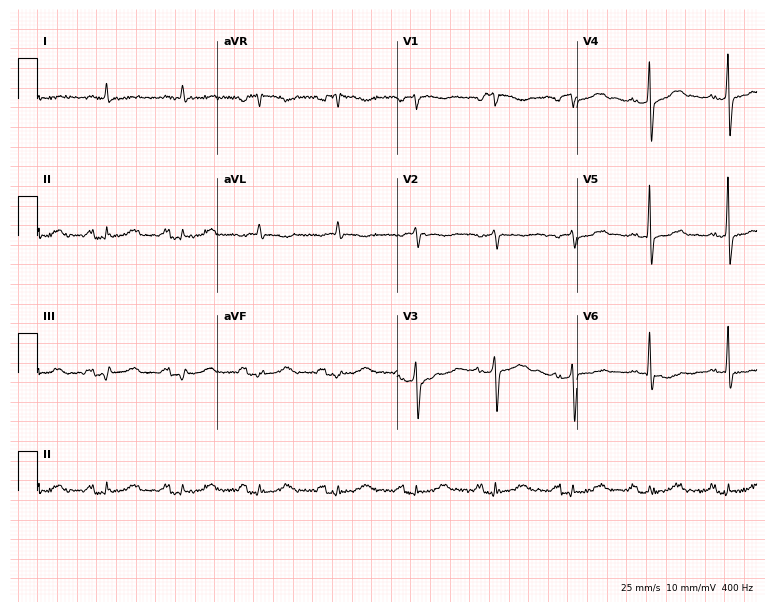
Electrocardiogram, a 64-year-old male patient. Of the six screened findings (first-degree AV block, right bundle branch block (RBBB), left bundle branch block (LBBB), sinus bradycardia, atrial fibrillation (AF), sinus tachycardia), none is recorded. Findings outside these six are not listed.